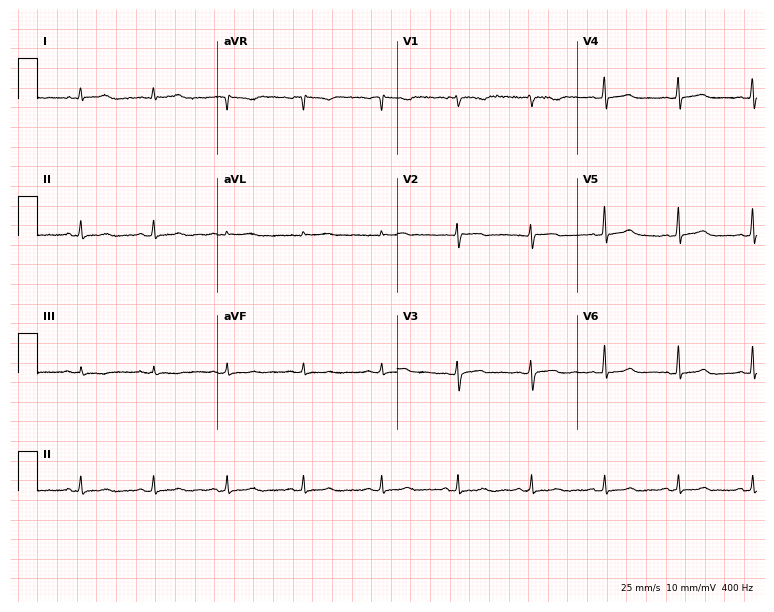
12-lead ECG from a 33-year-old woman. No first-degree AV block, right bundle branch block, left bundle branch block, sinus bradycardia, atrial fibrillation or sinus tachycardia recorded for this tracing.